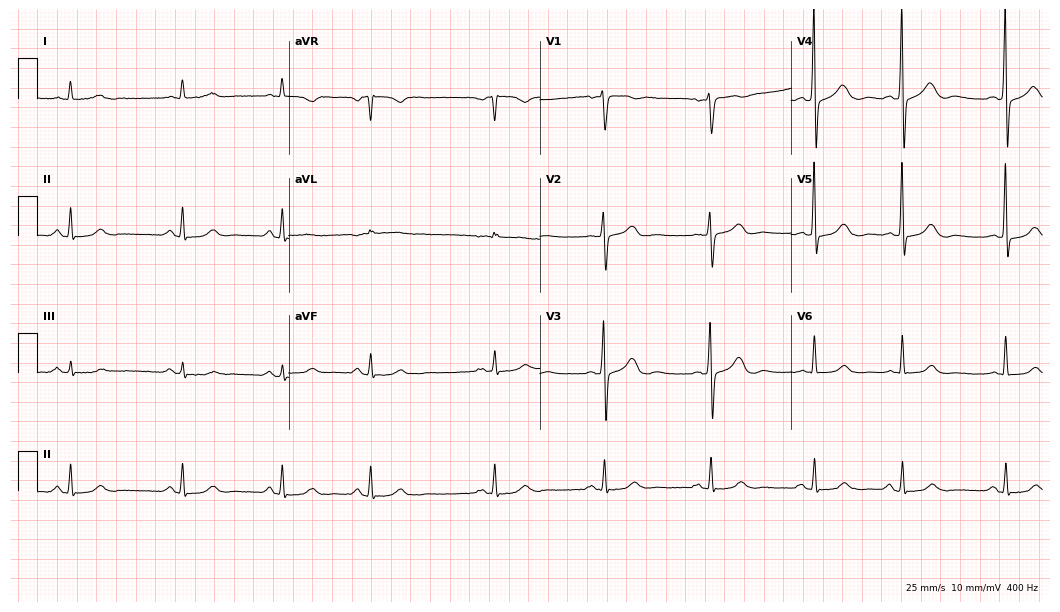
12-lead ECG from a 75-year-old male. No first-degree AV block, right bundle branch block, left bundle branch block, sinus bradycardia, atrial fibrillation or sinus tachycardia recorded for this tracing. Only these six findings were labelled.